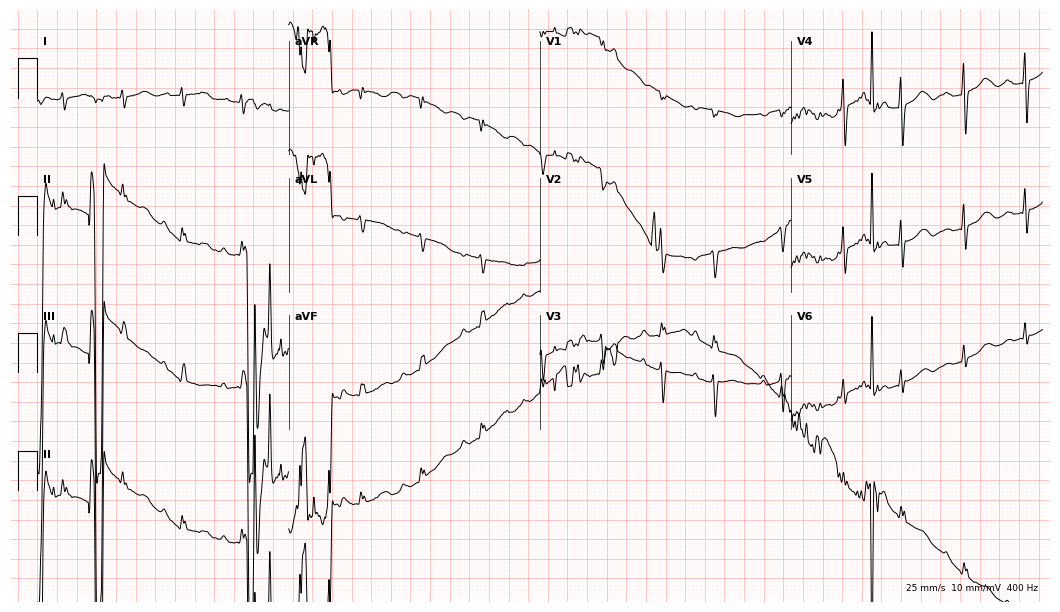
Resting 12-lead electrocardiogram (10.2-second recording at 400 Hz). Patient: a 67-year-old woman. None of these six findings is recorded: first-degree AV block, right bundle branch block (RBBB), left bundle branch block (LBBB), sinus bradycardia, atrial fibrillation (AF), sinus tachycardia. Other findings, if any, are not listed.